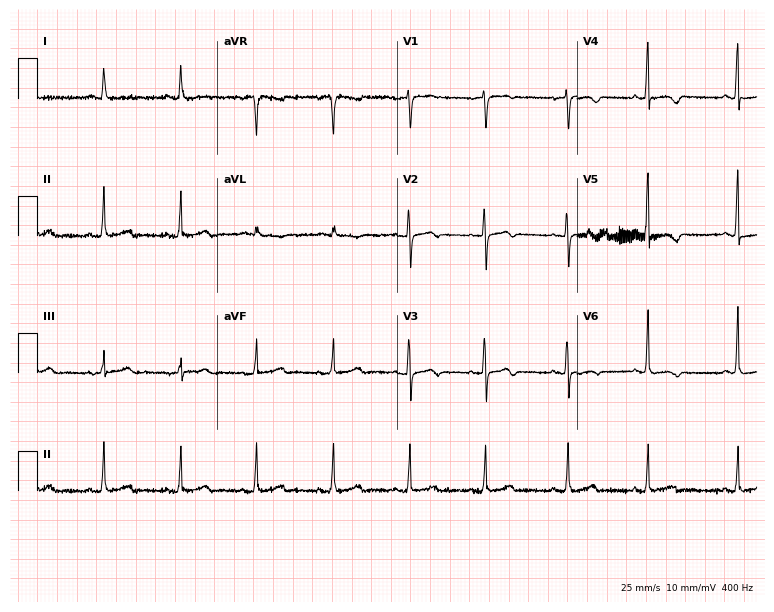
12-lead ECG (7.3-second recording at 400 Hz) from an 84-year-old woman. Screened for six findings — first-degree AV block, right bundle branch block (RBBB), left bundle branch block (LBBB), sinus bradycardia, atrial fibrillation (AF), sinus tachycardia — none is recorded.